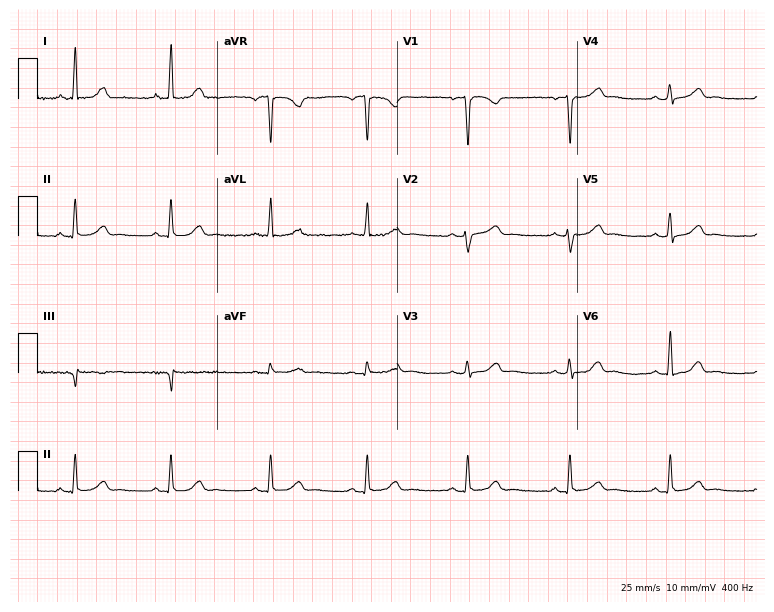
12-lead ECG from a female patient, 39 years old (7.3-second recording at 400 Hz). Recorded interpretation: within normal limits.